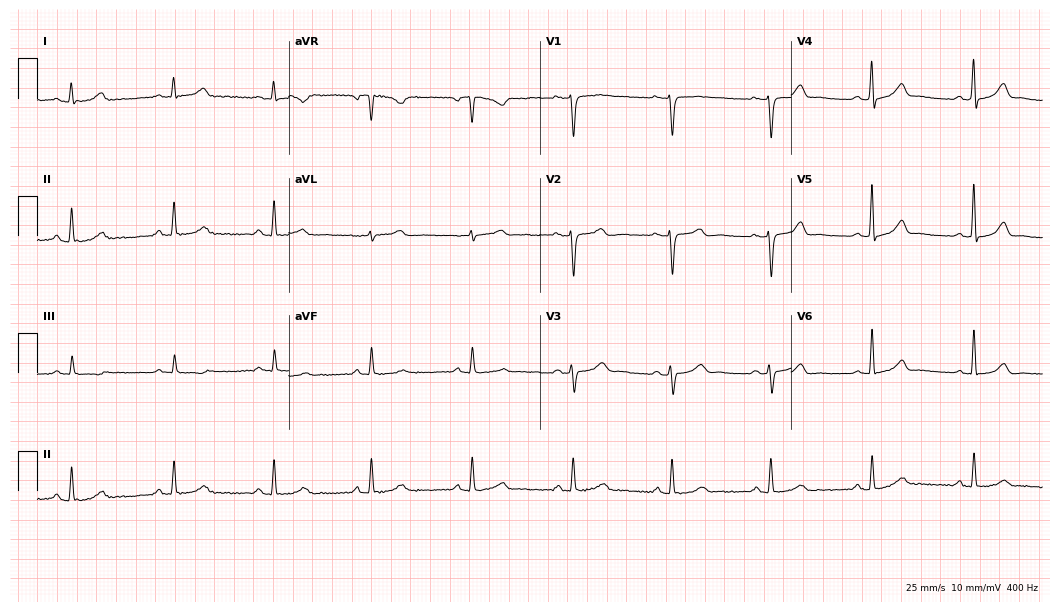
Standard 12-lead ECG recorded from a 33-year-old female. Read as a normal ECG.